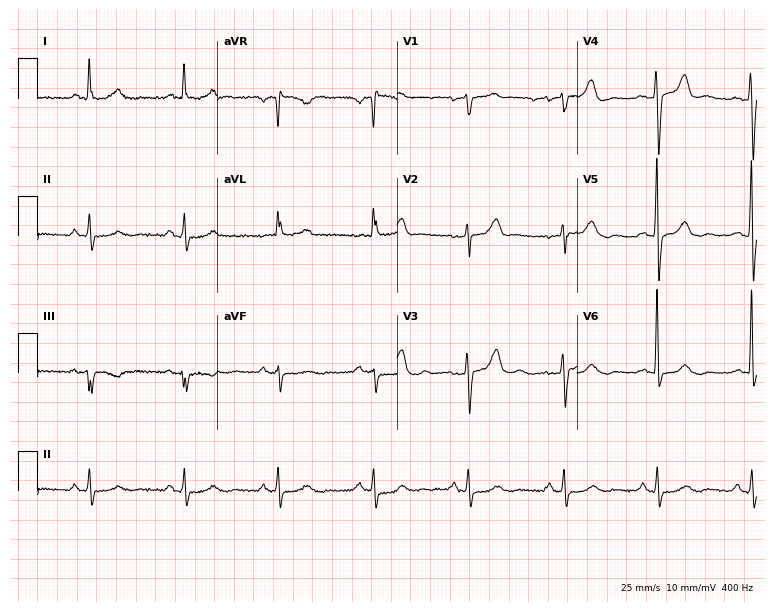
Resting 12-lead electrocardiogram. Patient: a female, 63 years old. None of these six findings is recorded: first-degree AV block, right bundle branch block (RBBB), left bundle branch block (LBBB), sinus bradycardia, atrial fibrillation (AF), sinus tachycardia.